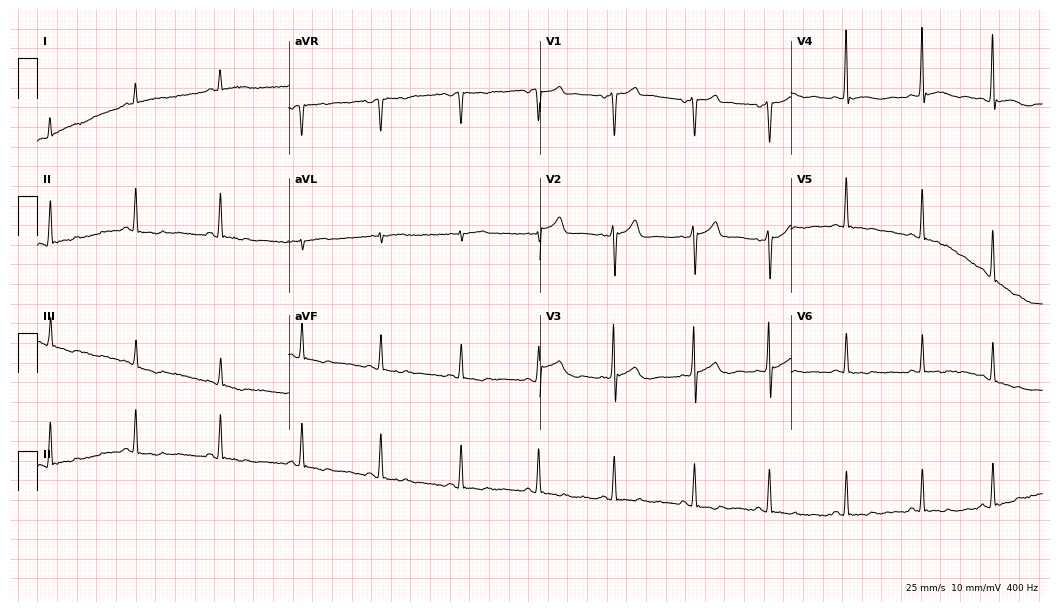
Resting 12-lead electrocardiogram (10.2-second recording at 400 Hz). Patient: a male, 54 years old. None of these six findings is recorded: first-degree AV block, right bundle branch block, left bundle branch block, sinus bradycardia, atrial fibrillation, sinus tachycardia.